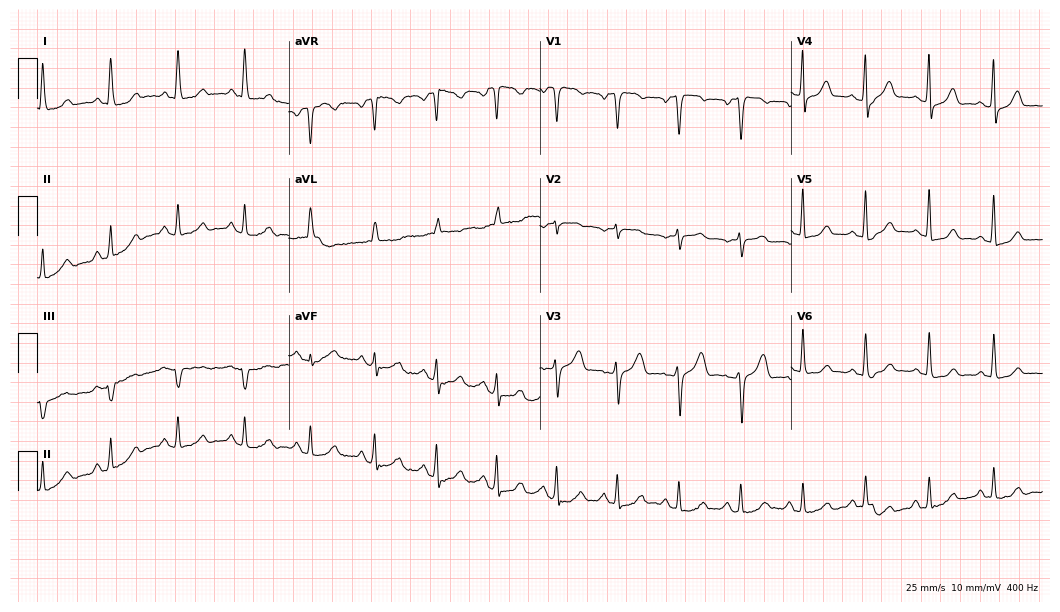
Resting 12-lead electrocardiogram. Patient: a female, 47 years old. Read as a normal ECG.